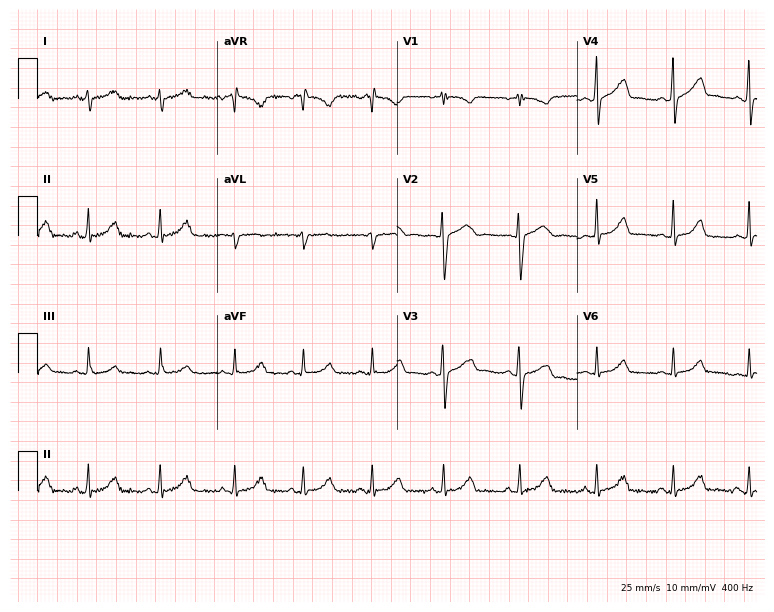
Electrocardiogram, a 17-year-old female patient. Overall reading on record: normal ECG.